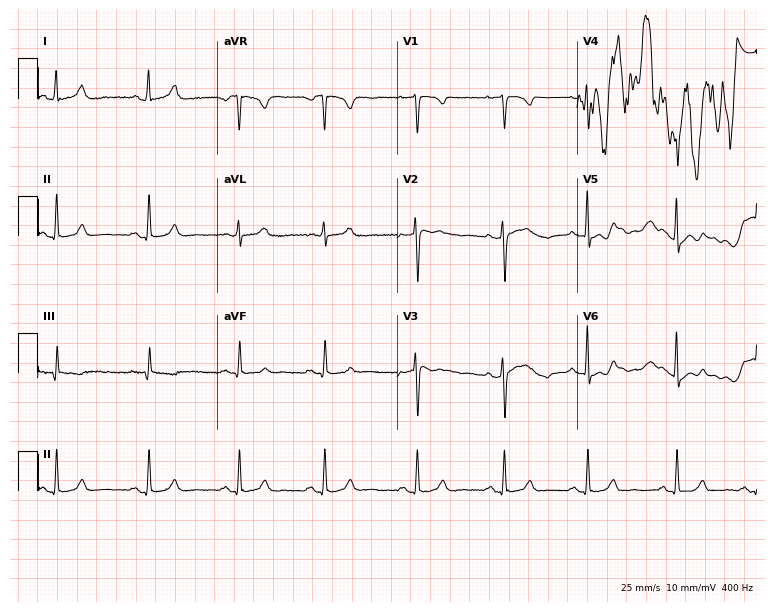
ECG (7.3-second recording at 400 Hz) — a woman, 48 years old. Labelled as a normal ECG.